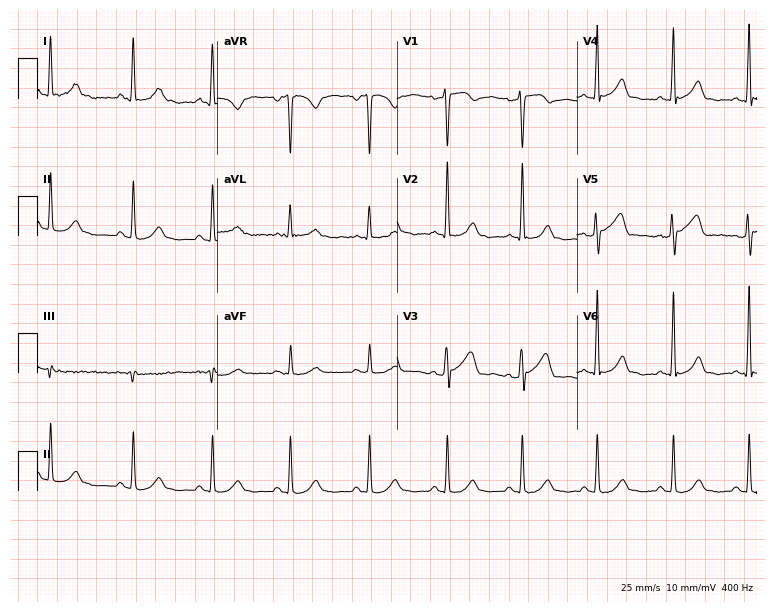
Resting 12-lead electrocardiogram. Patient: a 53-year-old woman. None of these six findings is recorded: first-degree AV block, right bundle branch block (RBBB), left bundle branch block (LBBB), sinus bradycardia, atrial fibrillation (AF), sinus tachycardia.